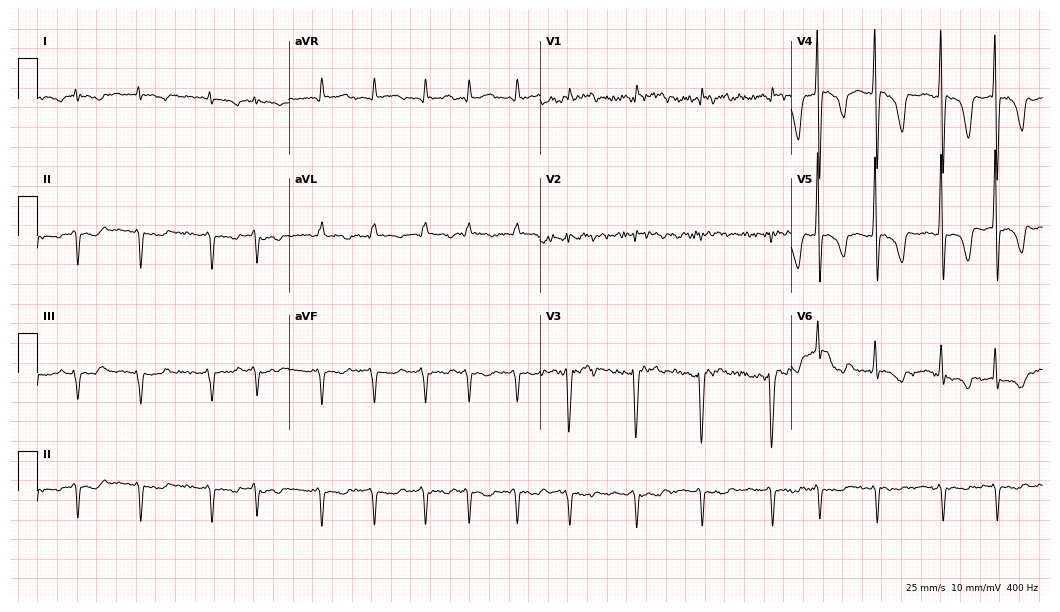
Standard 12-lead ECG recorded from a 75-year-old man. The tracing shows atrial fibrillation (AF).